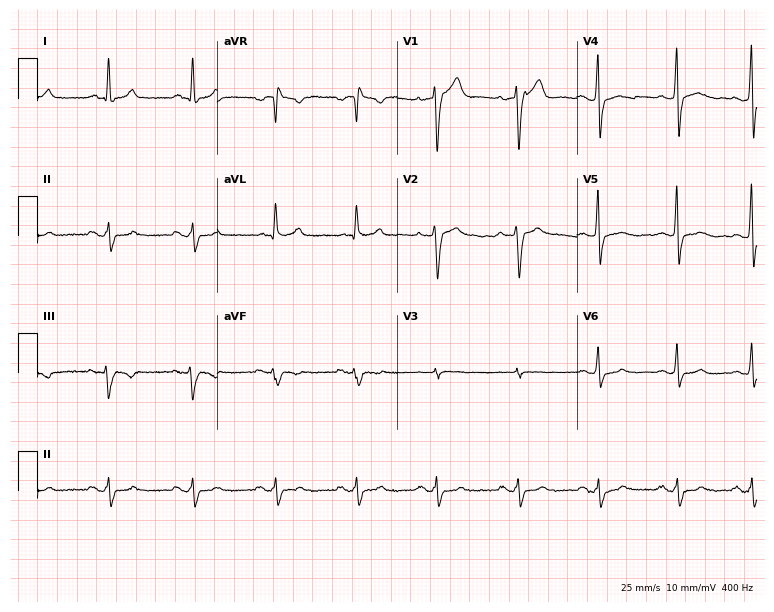
Standard 12-lead ECG recorded from a 43-year-old male. None of these six findings is recorded: first-degree AV block, right bundle branch block (RBBB), left bundle branch block (LBBB), sinus bradycardia, atrial fibrillation (AF), sinus tachycardia.